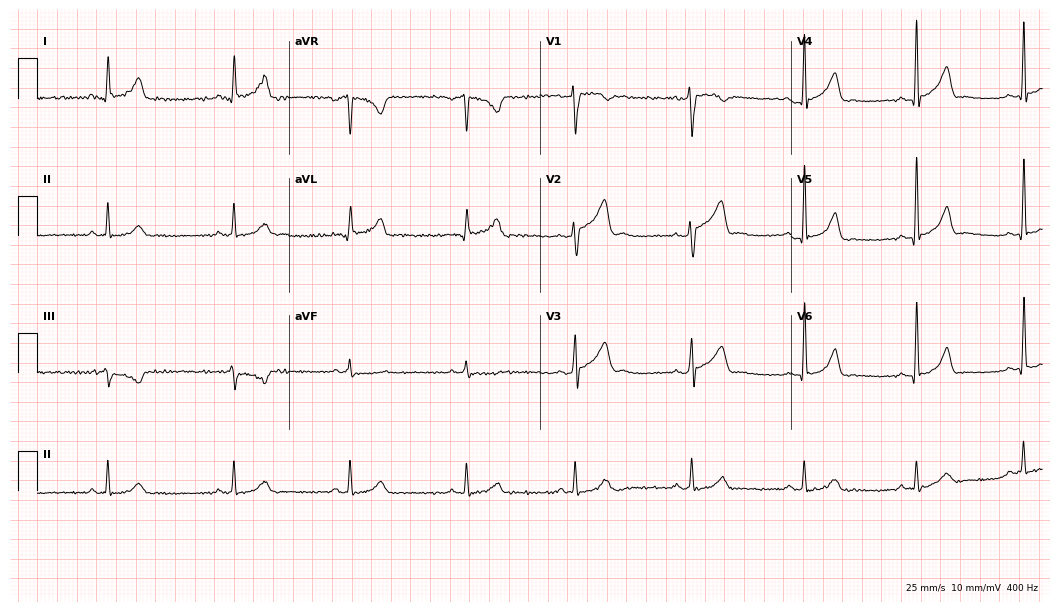
Resting 12-lead electrocardiogram (10.2-second recording at 400 Hz). Patient: a man, 28 years old. None of these six findings is recorded: first-degree AV block, right bundle branch block, left bundle branch block, sinus bradycardia, atrial fibrillation, sinus tachycardia. Other findings, if any, are not listed.